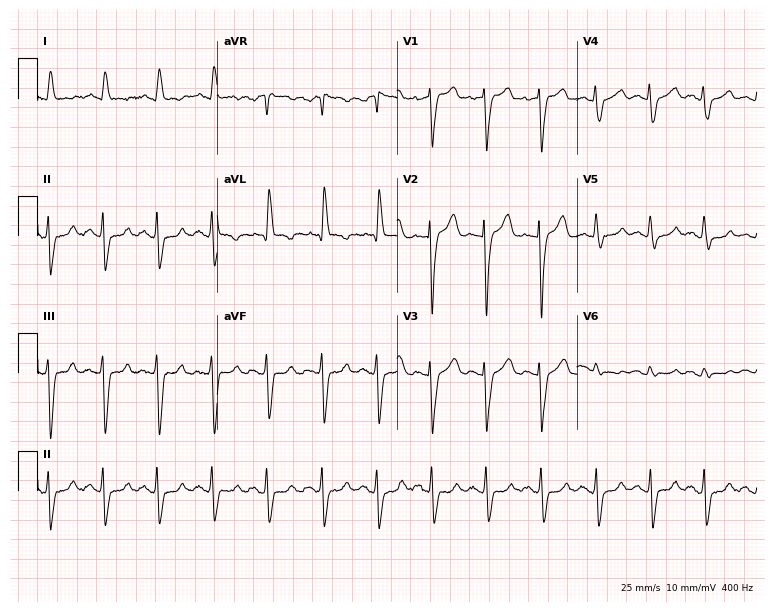
ECG — a 79-year-old female patient. Screened for six findings — first-degree AV block, right bundle branch block, left bundle branch block, sinus bradycardia, atrial fibrillation, sinus tachycardia — none is recorded. Only these six findings were labelled.